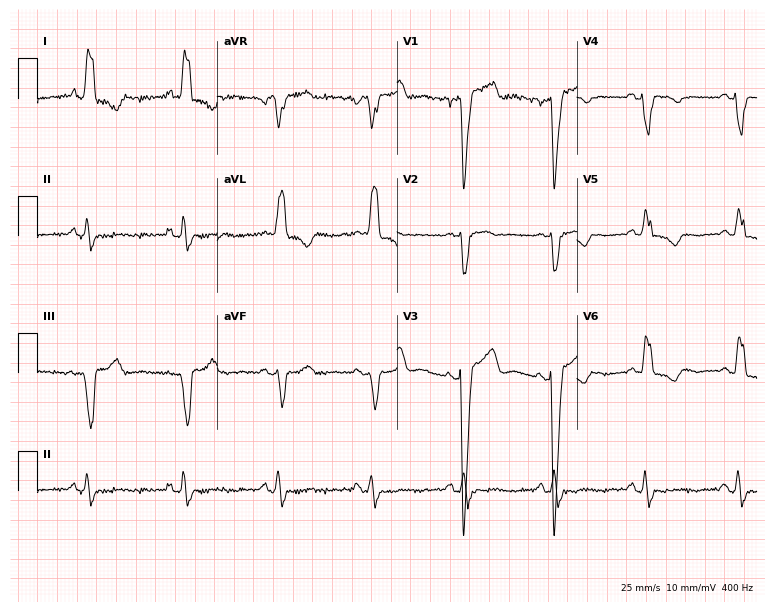
12-lead ECG (7.3-second recording at 400 Hz) from a 79-year-old female patient. Findings include left bundle branch block (LBBB).